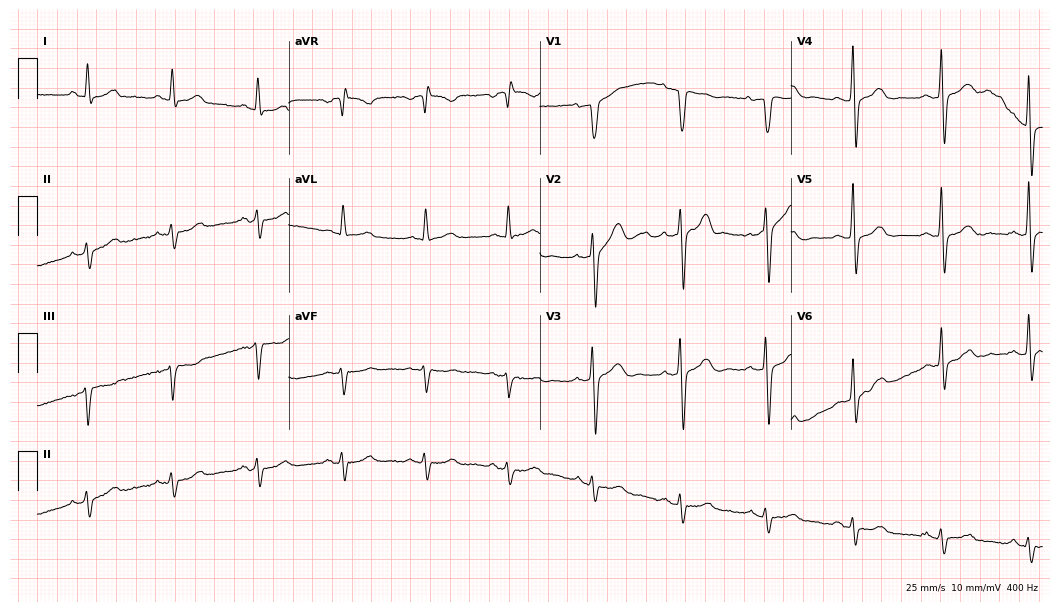
ECG (10.2-second recording at 400 Hz) — a 77-year-old male. Screened for six findings — first-degree AV block, right bundle branch block, left bundle branch block, sinus bradycardia, atrial fibrillation, sinus tachycardia — none is recorded. Only these six findings were labelled.